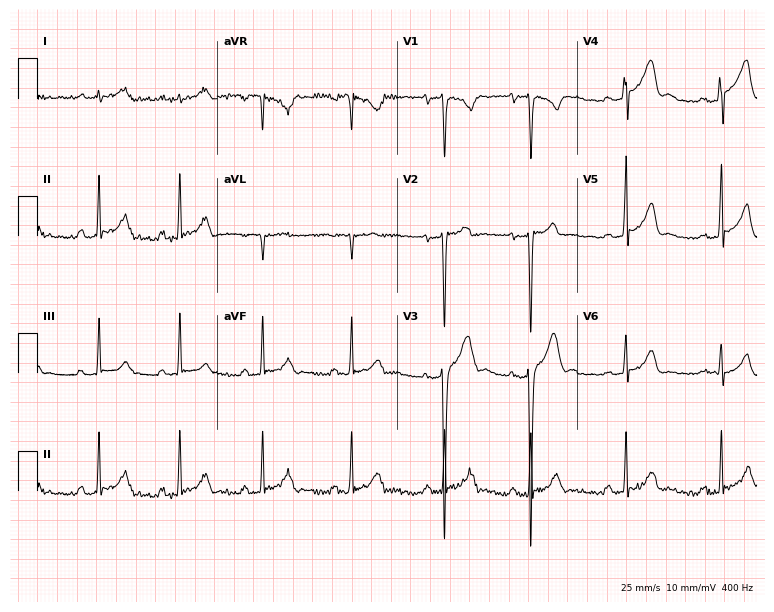
Resting 12-lead electrocardiogram (7.3-second recording at 400 Hz). Patient: a male, 20 years old. Read as a normal ECG.